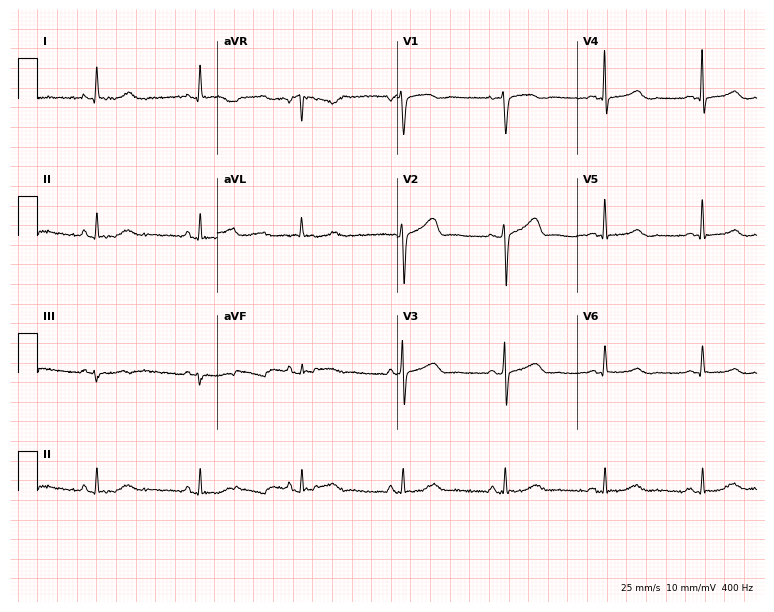
ECG (7.3-second recording at 400 Hz) — a 61-year-old woman. Screened for six findings — first-degree AV block, right bundle branch block, left bundle branch block, sinus bradycardia, atrial fibrillation, sinus tachycardia — none is recorded.